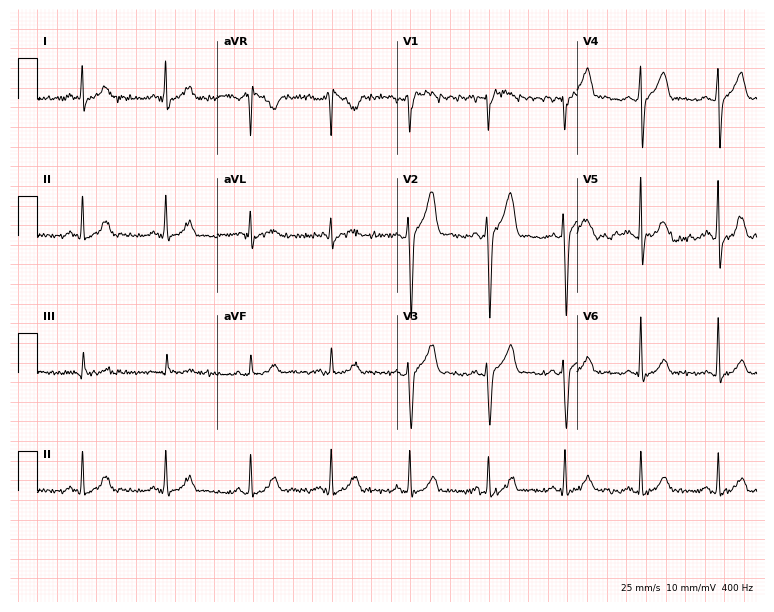
Resting 12-lead electrocardiogram (7.3-second recording at 400 Hz). Patient: a 36-year-old male. Read as a normal ECG.